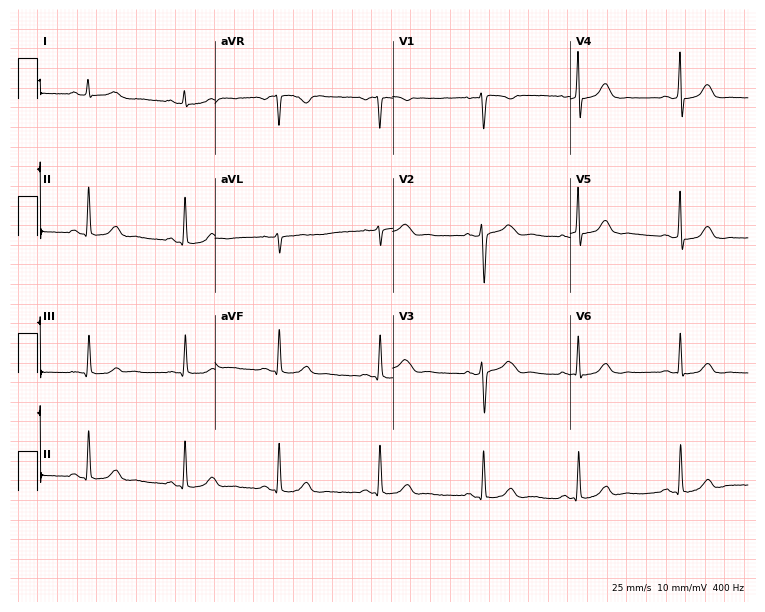
12-lead ECG from a woman, 34 years old. Screened for six findings — first-degree AV block, right bundle branch block, left bundle branch block, sinus bradycardia, atrial fibrillation, sinus tachycardia — none is recorded.